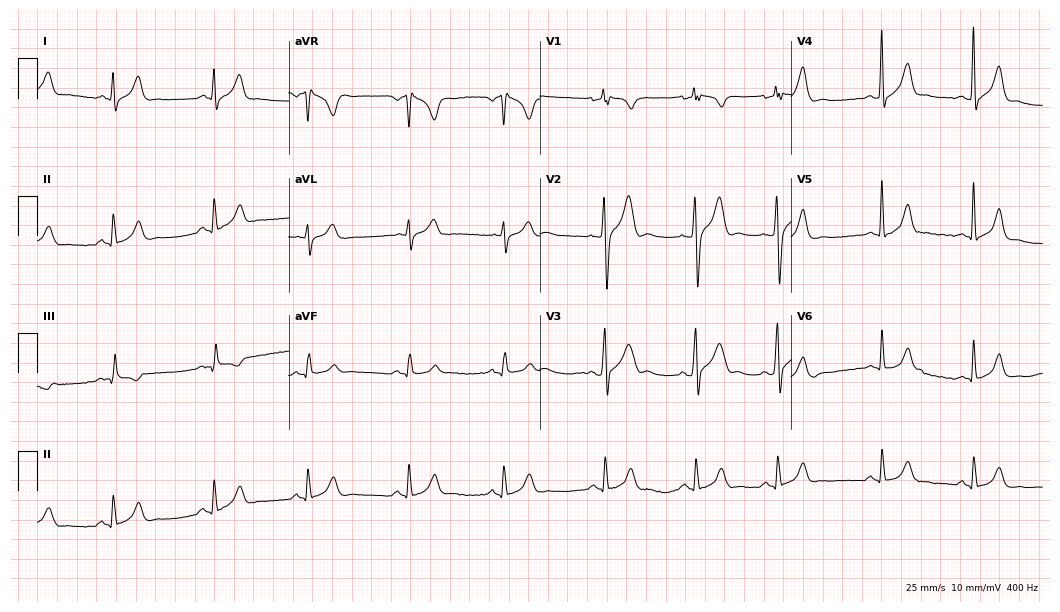
Standard 12-lead ECG recorded from a 23-year-old man. None of these six findings is recorded: first-degree AV block, right bundle branch block (RBBB), left bundle branch block (LBBB), sinus bradycardia, atrial fibrillation (AF), sinus tachycardia. Findings outside these six are not listed.